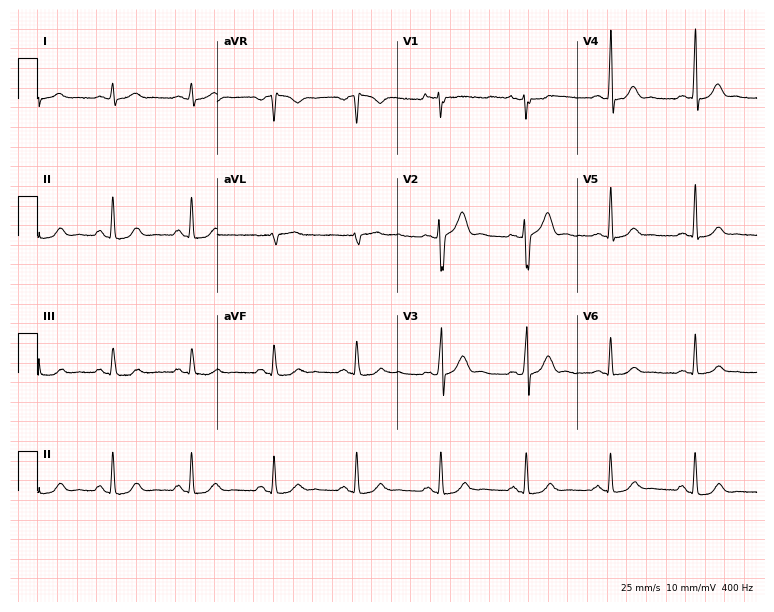
Standard 12-lead ECG recorded from a man, 29 years old. Read as a normal ECG.